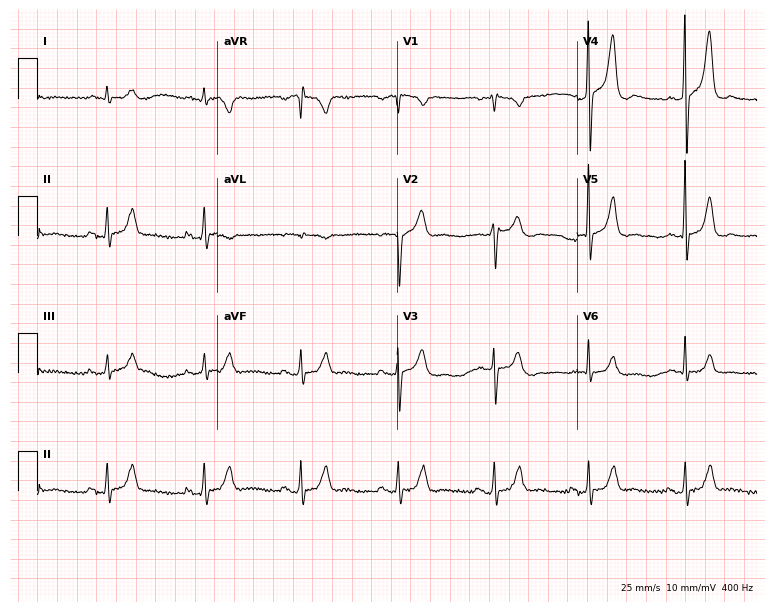
12-lead ECG (7.3-second recording at 400 Hz) from a 57-year-old male patient. Labelled as a normal ECG.